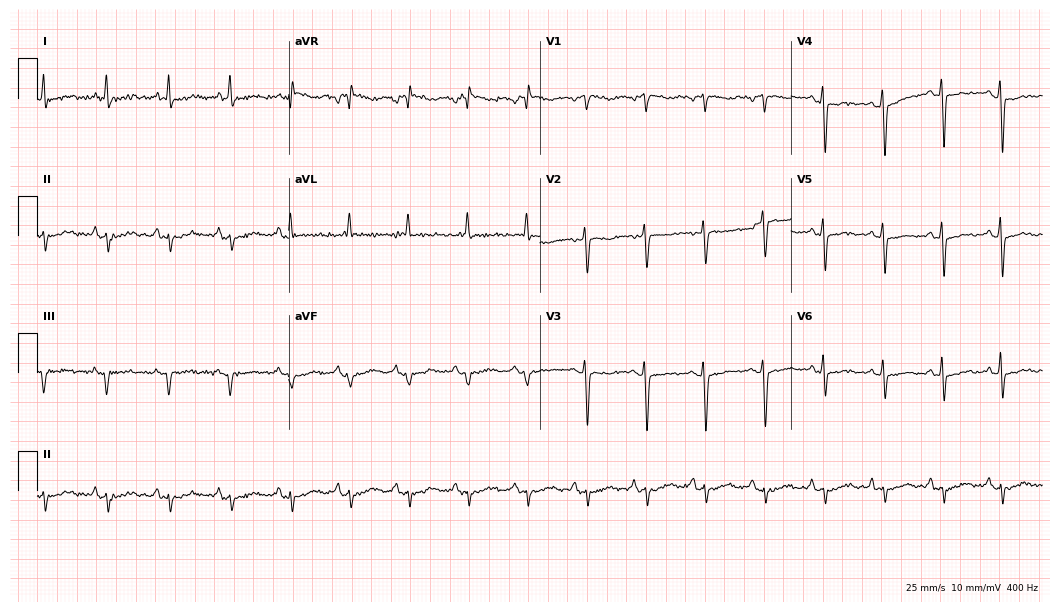
ECG — a 58-year-old female. Screened for six findings — first-degree AV block, right bundle branch block, left bundle branch block, sinus bradycardia, atrial fibrillation, sinus tachycardia — none is recorded. Only these six findings were labelled.